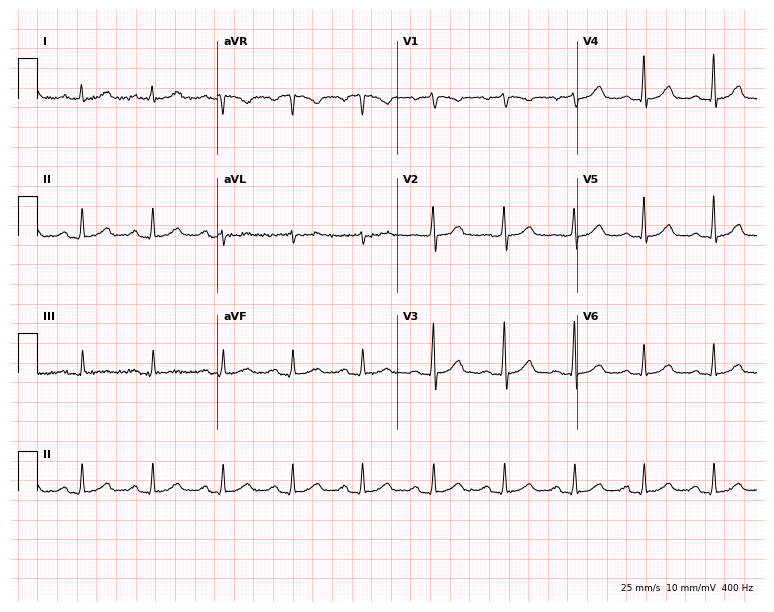
12-lead ECG from a male patient, 42 years old. Recorded interpretation: within normal limits.